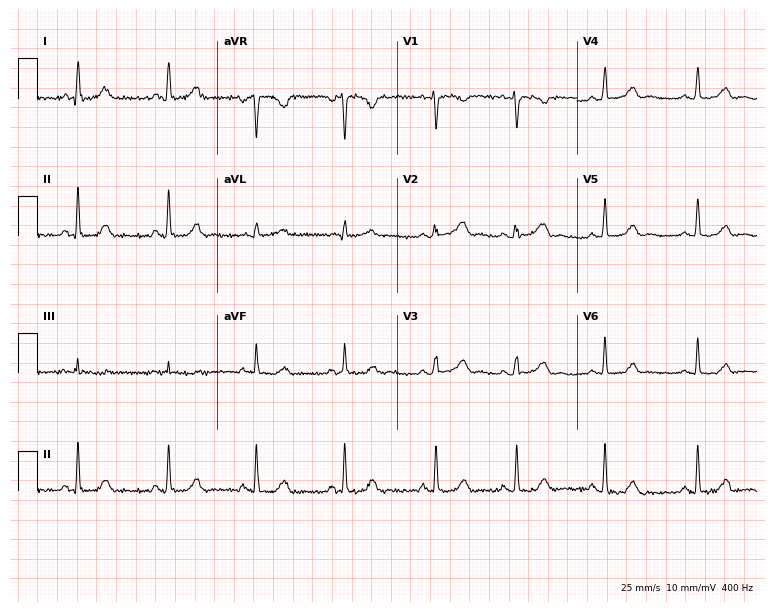
Electrocardiogram, a 30-year-old female patient. Overall reading on record: normal ECG.